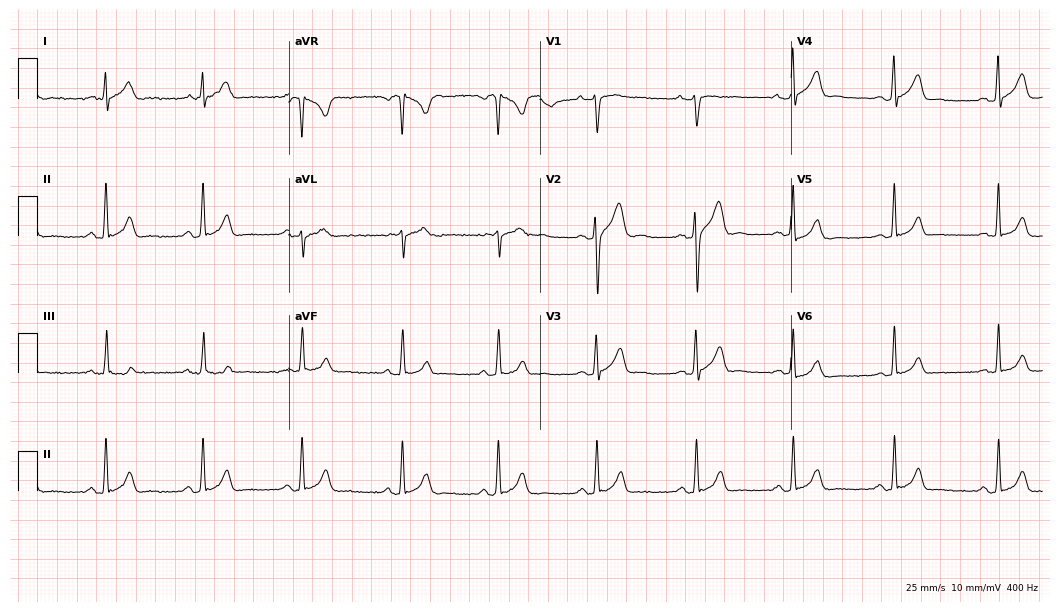
12-lead ECG (10.2-second recording at 400 Hz) from a man, 23 years old. Labelled as a normal ECG.